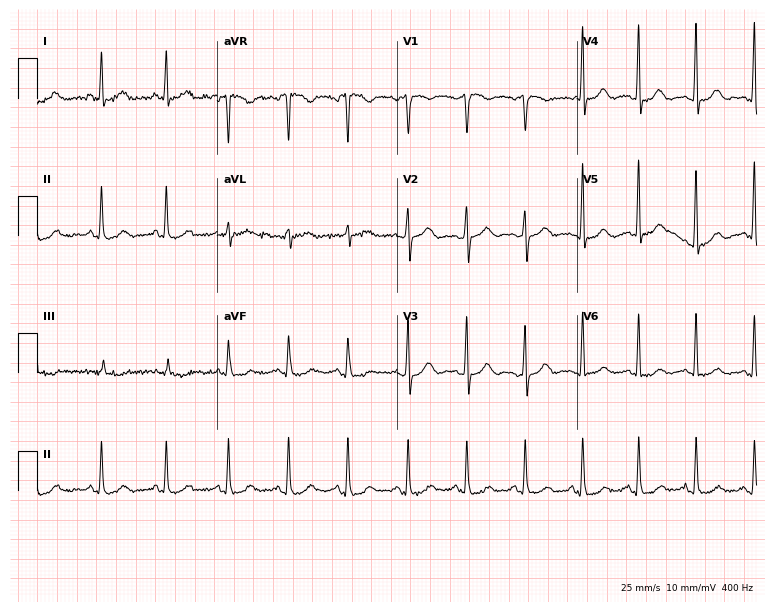
Resting 12-lead electrocardiogram (7.3-second recording at 400 Hz). Patient: a female, 60 years old. None of these six findings is recorded: first-degree AV block, right bundle branch block, left bundle branch block, sinus bradycardia, atrial fibrillation, sinus tachycardia.